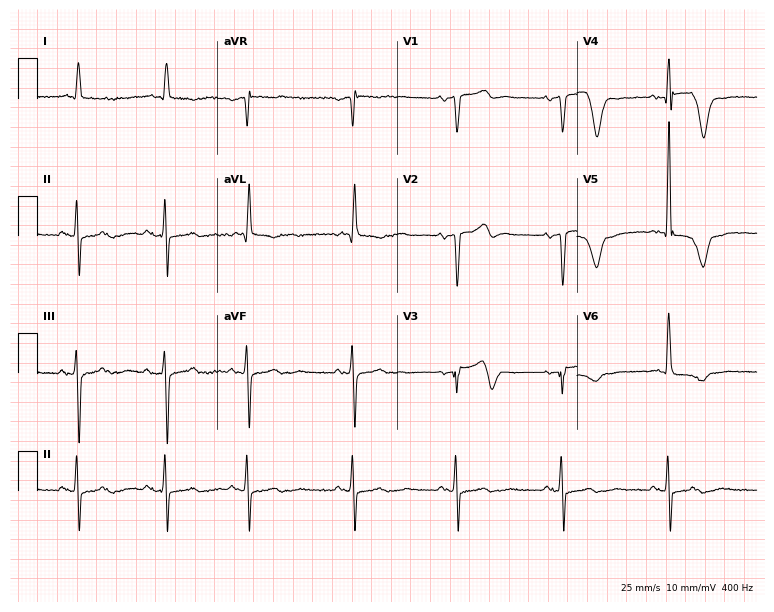
12-lead ECG from an 84-year-old male patient (7.3-second recording at 400 Hz). No first-degree AV block, right bundle branch block, left bundle branch block, sinus bradycardia, atrial fibrillation or sinus tachycardia recorded for this tracing. Other findings, if any, are not listed.